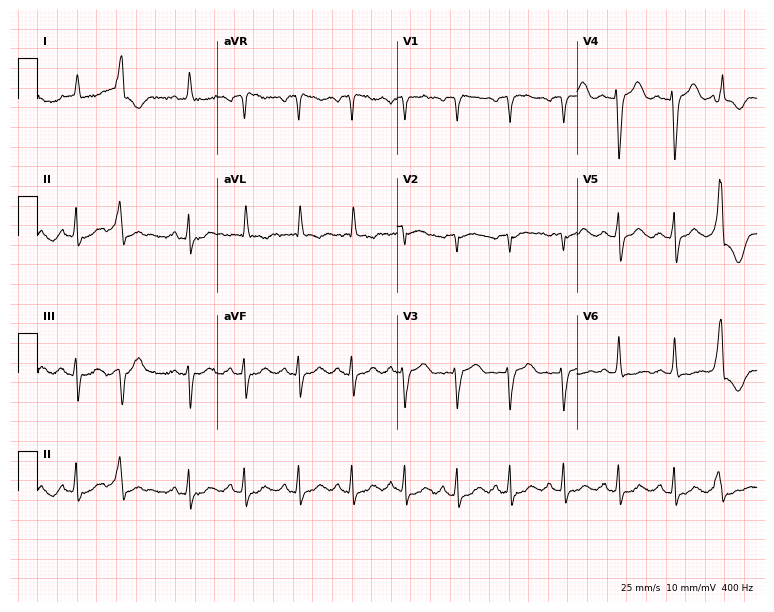
12-lead ECG (7.3-second recording at 400 Hz) from a woman, 78 years old. Findings include sinus tachycardia (a sinus rate of 100 beats per minute or more).